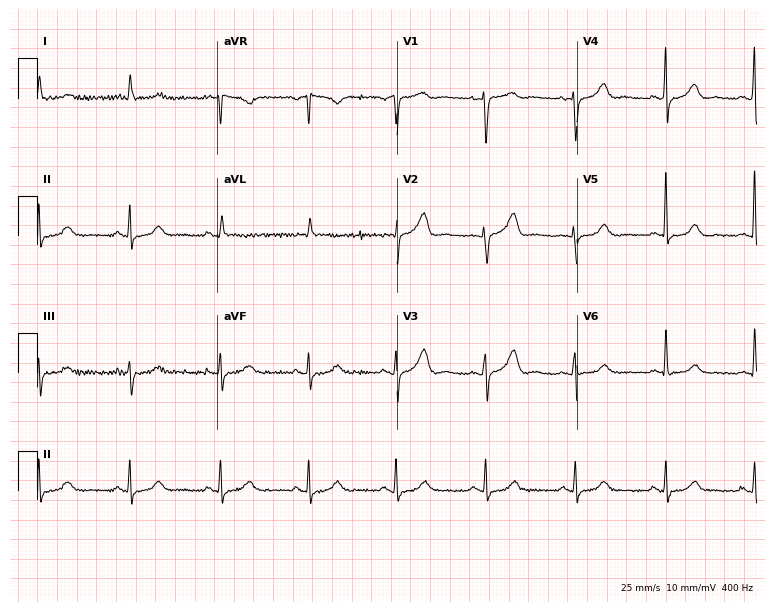
ECG (7.3-second recording at 400 Hz) — a 79-year-old female patient. Screened for six findings — first-degree AV block, right bundle branch block, left bundle branch block, sinus bradycardia, atrial fibrillation, sinus tachycardia — none is recorded.